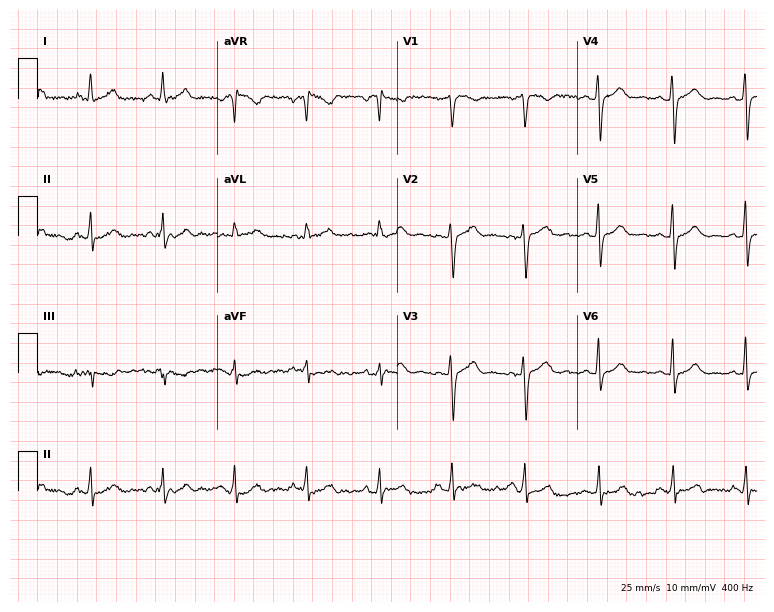
Resting 12-lead electrocardiogram. Patient: a female, 40 years old. Read as a normal ECG.